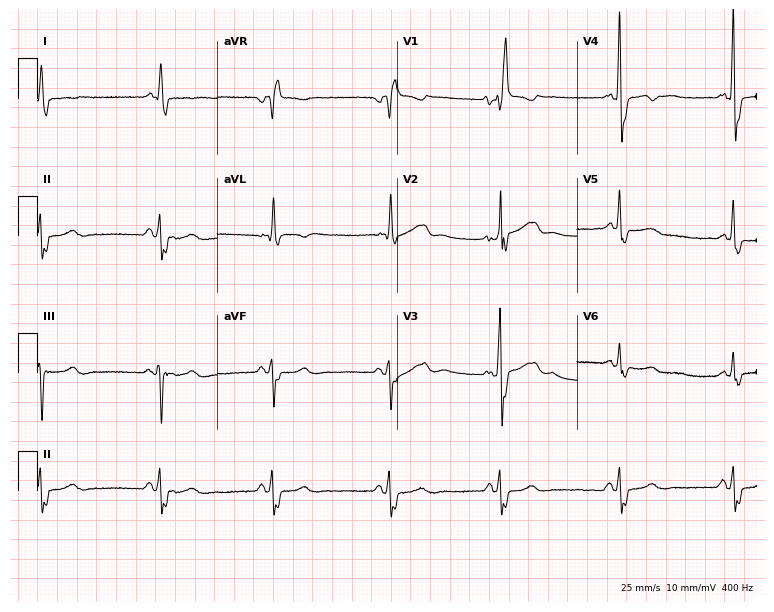
ECG — a 66-year-old man. Findings include right bundle branch block, sinus bradycardia (a sinus rate of 50 beats per minute or less).